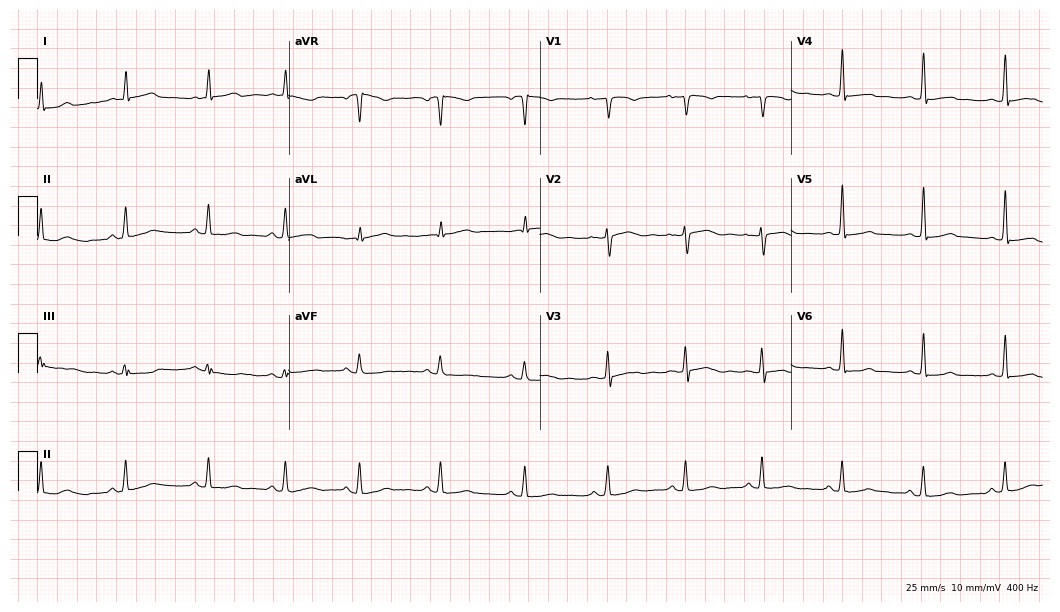
ECG — a 43-year-old woman. Screened for six findings — first-degree AV block, right bundle branch block (RBBB), left bundle branch block (LBBB), sinus bradycardia, atrial fibrillation (AF), sinus tachycardia — none is recorded. Only these six findings were labelled.